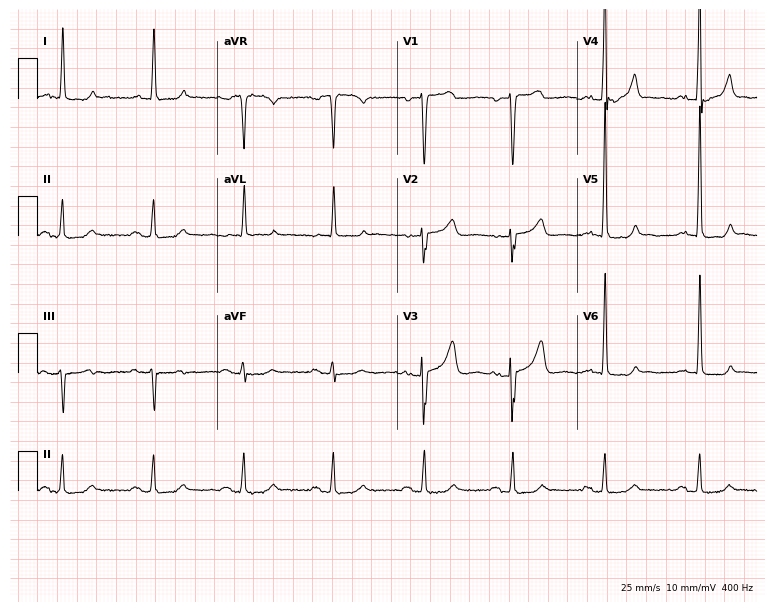
12-lead ECG from a female, 78 years old. Screened for six findings — first-degree AV block, right bundle branch block, left bundle branch block, sinus bradycardia, atrial fibrillation, sinus tachycardia — none is recorded.